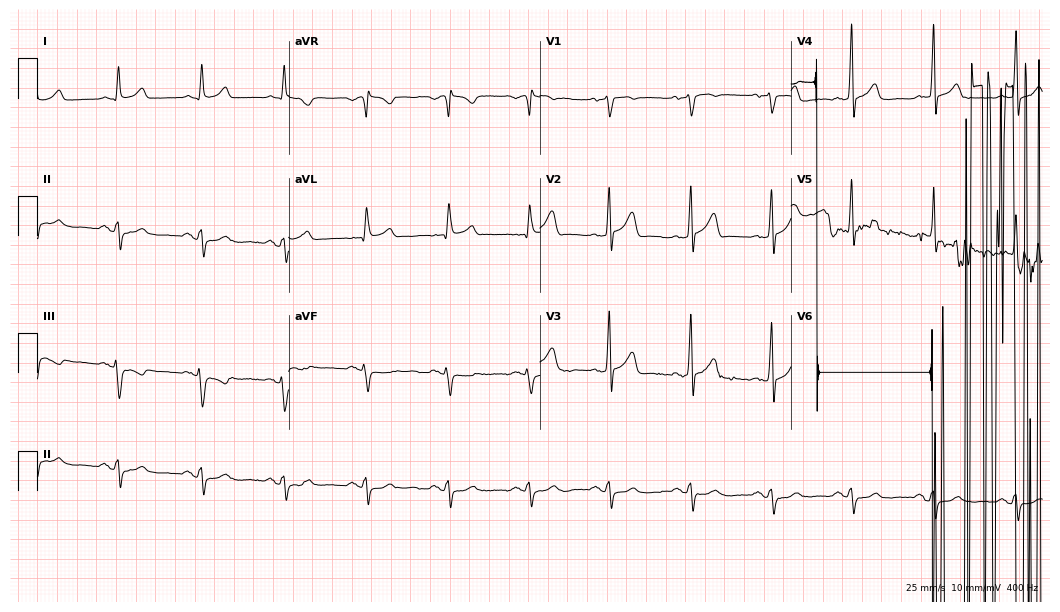
Resting 12-lead electrocardiogram (10.2-second recording at 400 Hz). Patient: a male, 59 years old. None of these six findings is recorded: first-degree AV block, right bundle branch block, left bundle branch block, sinus bradycardia, atrial fibrillation, sinus tachycardia. Other findings, if any, are not listed.